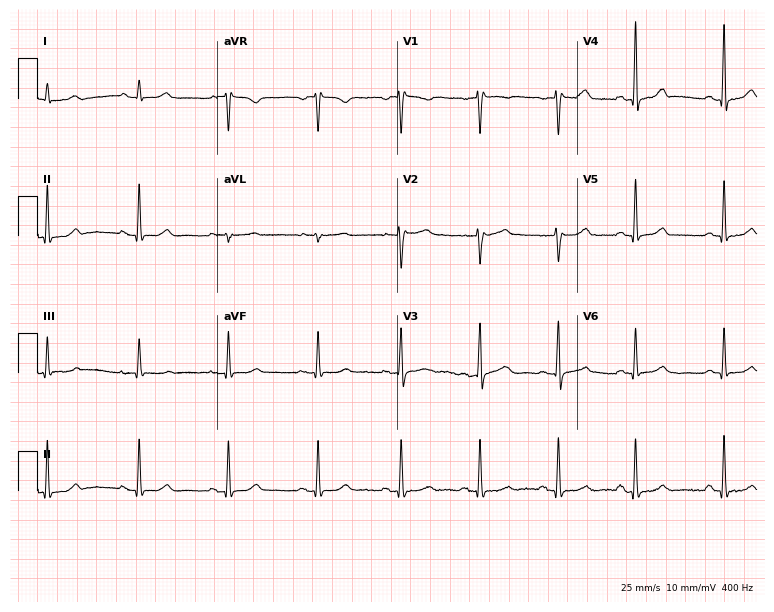
Resting 12-lead electrocardiogram (7.3-second recording at 400 Hz). Patient: a female, 38 years old. Read as a normal ECG.